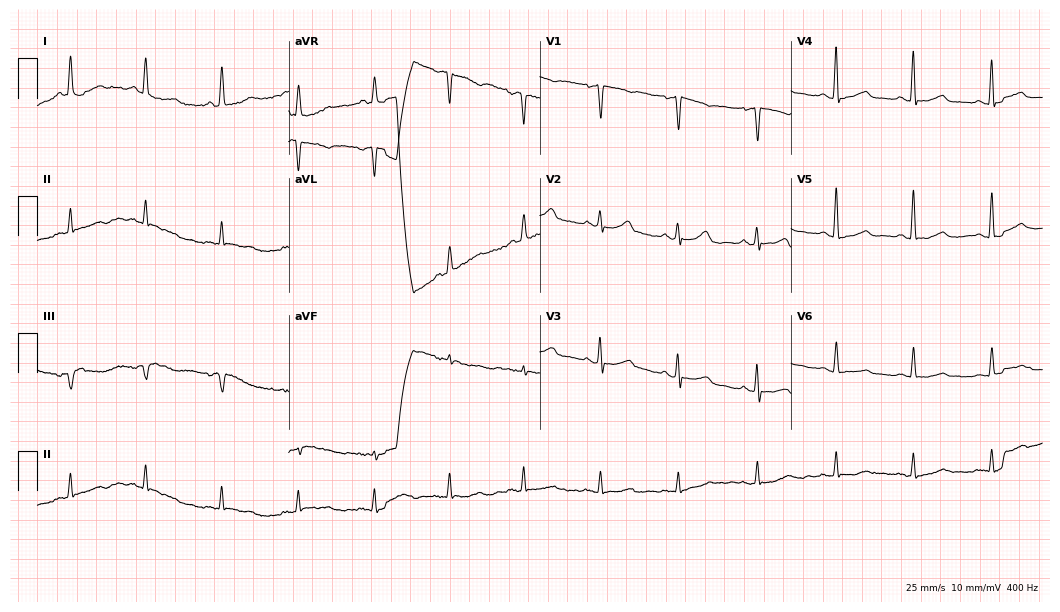
12-lead ECG from a 62-year-old female. Recorded interpretation: within normal limits.